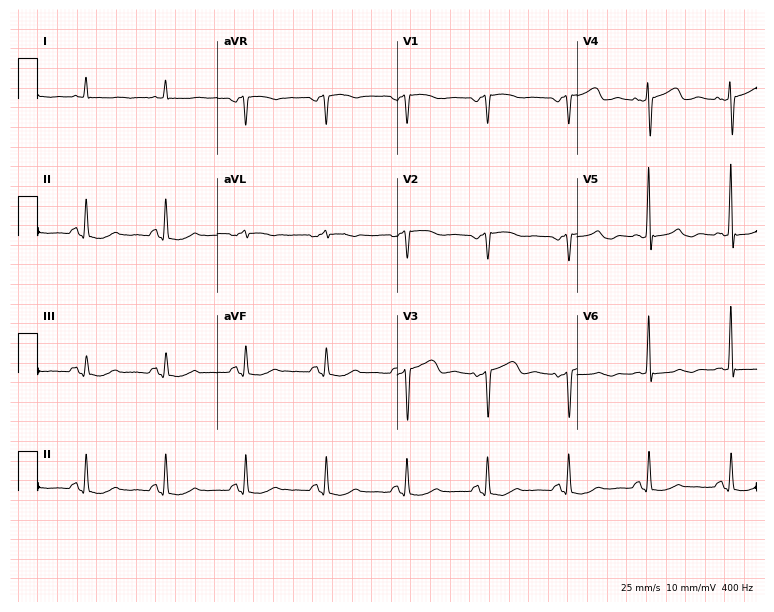
Standard 12-lead ECG recorded from a female, 73 years old (7.3-second recording at 400 Hz). None of these six findings is recorded: first-degree AV block, right bundle branch block, left bundle branch block, sinus bradycardia, atrial fibrillation, sinus tachycardia. Other findings, if any, are not listed.